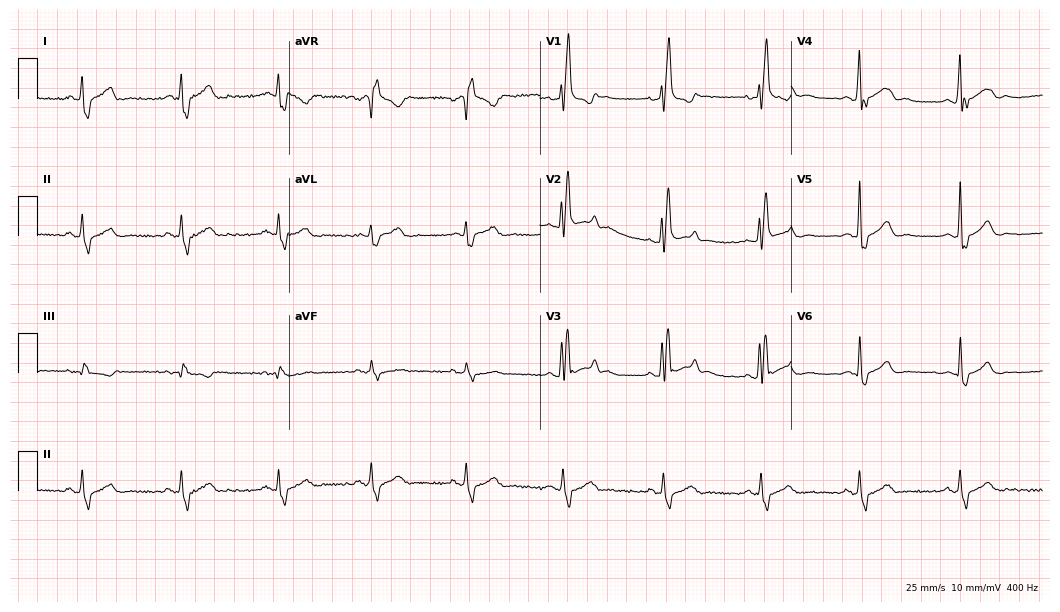
Electrocardiogram, a male patient, 28 years old. Interpretation includes right bundle branch block (RBBB).